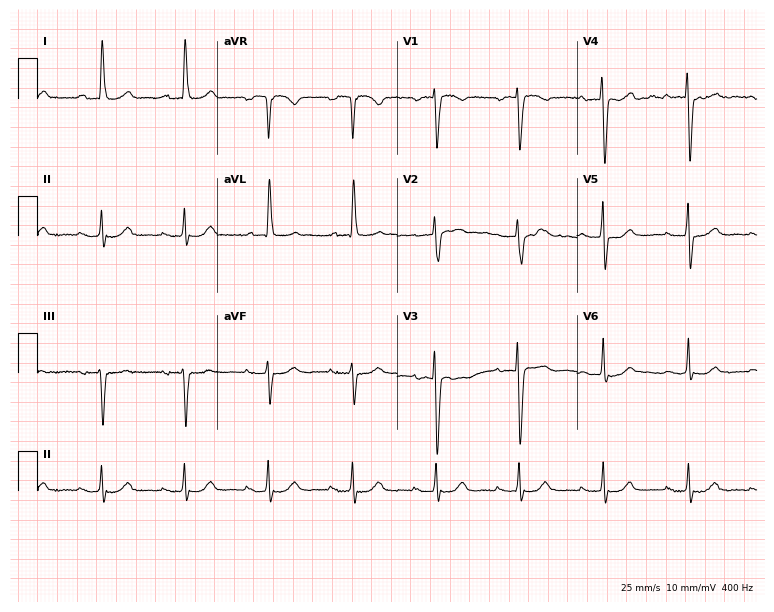
Electrocardiogram (7.3-second recording at 400 Hz), a woman, 79 years old. Overall reading on record: normal ECG.